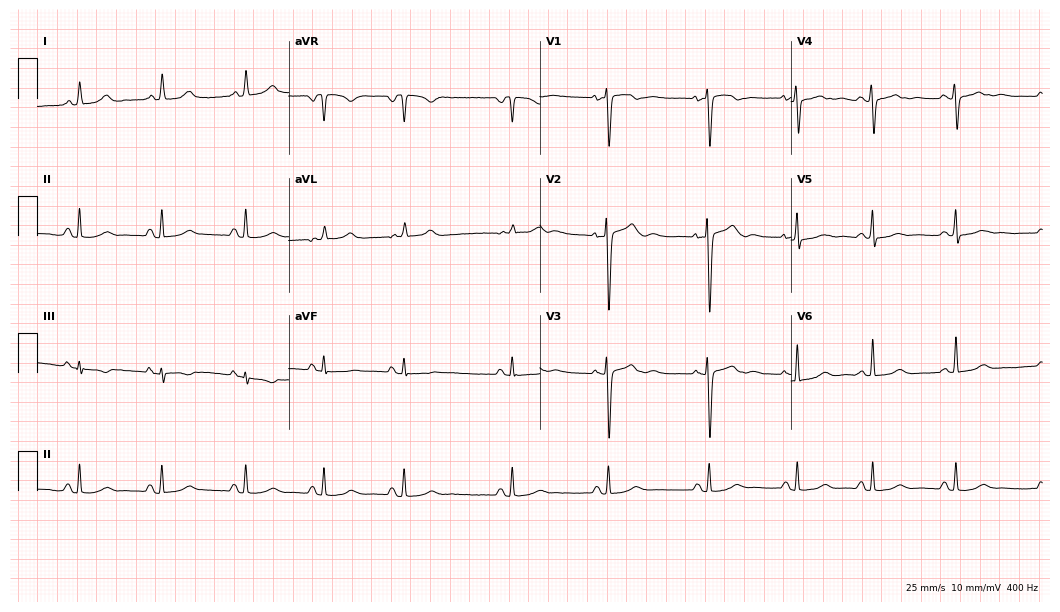
12-lead ECG from a female patient, 34 years old. No first-degree AV block, right bundle branch block, left bundle branch block, sinus bradycardia, atrial fibrillation or sinus tachycardia recorded for this tracing. Other findings, if any, are not listed.